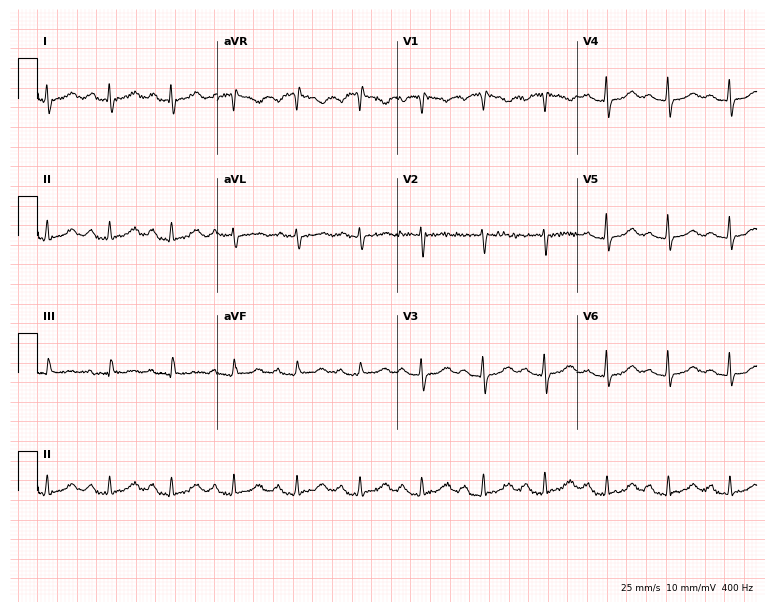
12-lead ECG (7.3-second recording at 400 Hz) from a female, 51 years old. Labelled as a normal ECG.